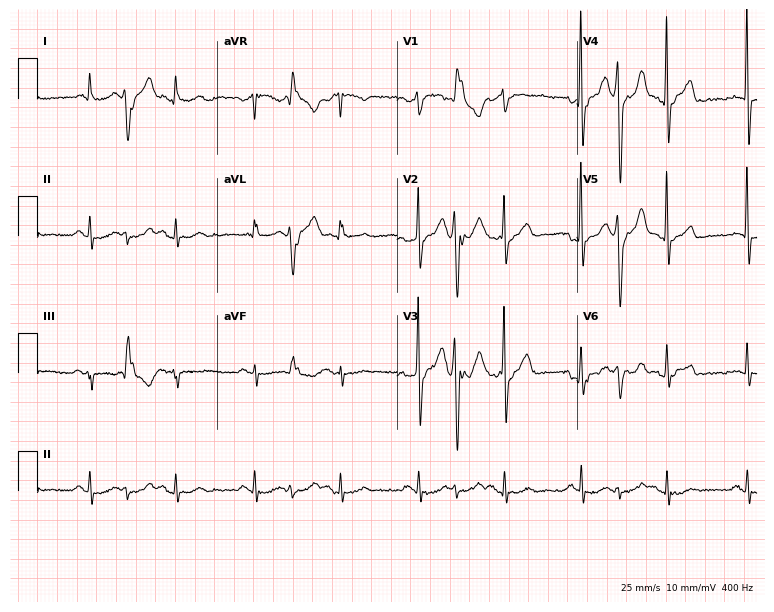
12-lead ECG from a man, 78 years old. No first-degree AV block, right bundle branch block (RBBB), left bundle branch block (LBBB), sinus bradycardia, atrial fibrillation (AF) or sinus tachycardia recorded for this tracing. Findings outside these six are not listed.